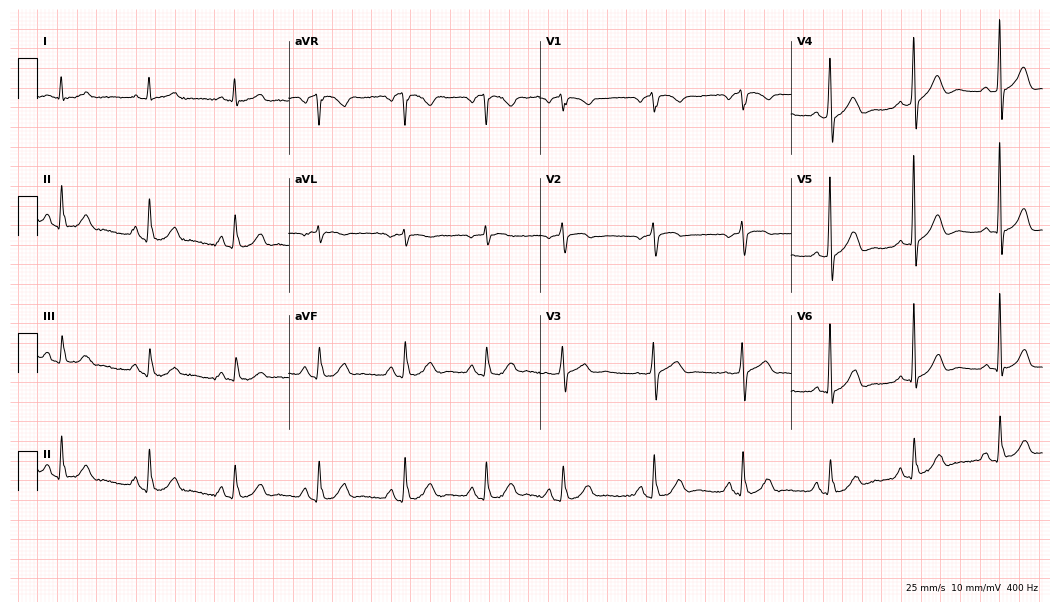
ECG — an 82-year-old woman. Screened for six findings — first-degree AV block, right bundle branch block, left bundle branch block, sinus bradycardia, atrial fibrillation, sinus tachycardia — none is recorded.